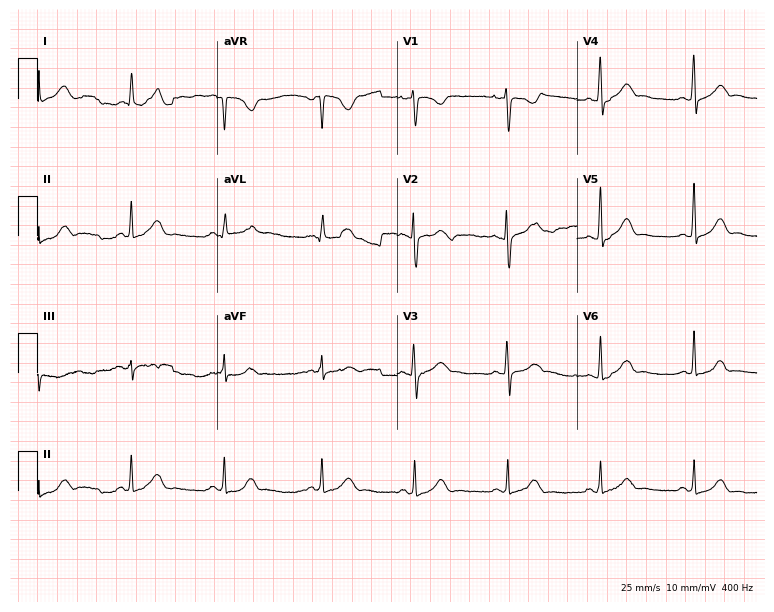
Resting 12-lead electrocardiogram (7.3-second recording at 400 Hz). Patient: a 37-year-old woman. Read as a normal ECG.